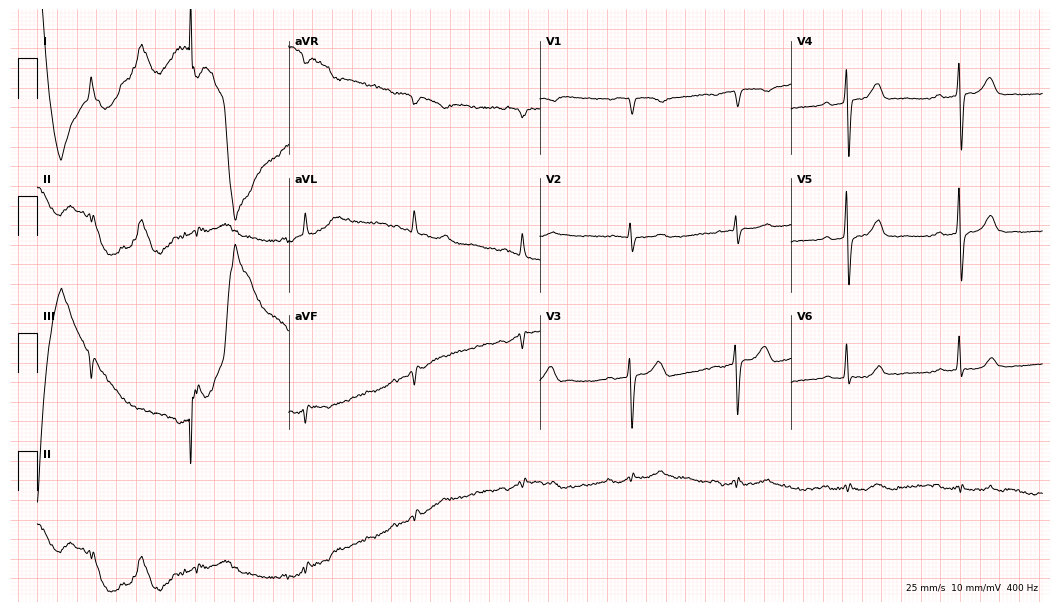
Resting 12-lead electrocardiogram. Patient: a 78-year-old male. The tracing shows first-degree AV block, atrial fibrillation.